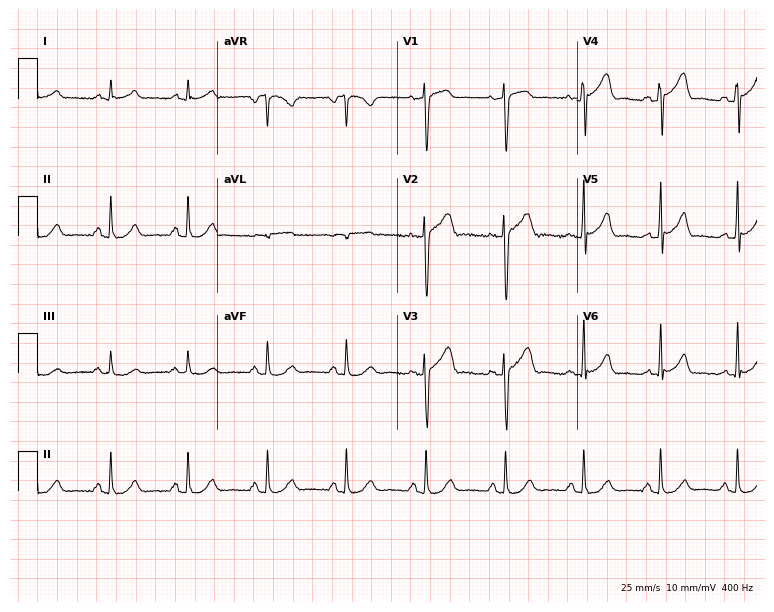
Resting 12-lead electrocardiogram. Patient: a female, 70 years old. Read as a normal ECG.